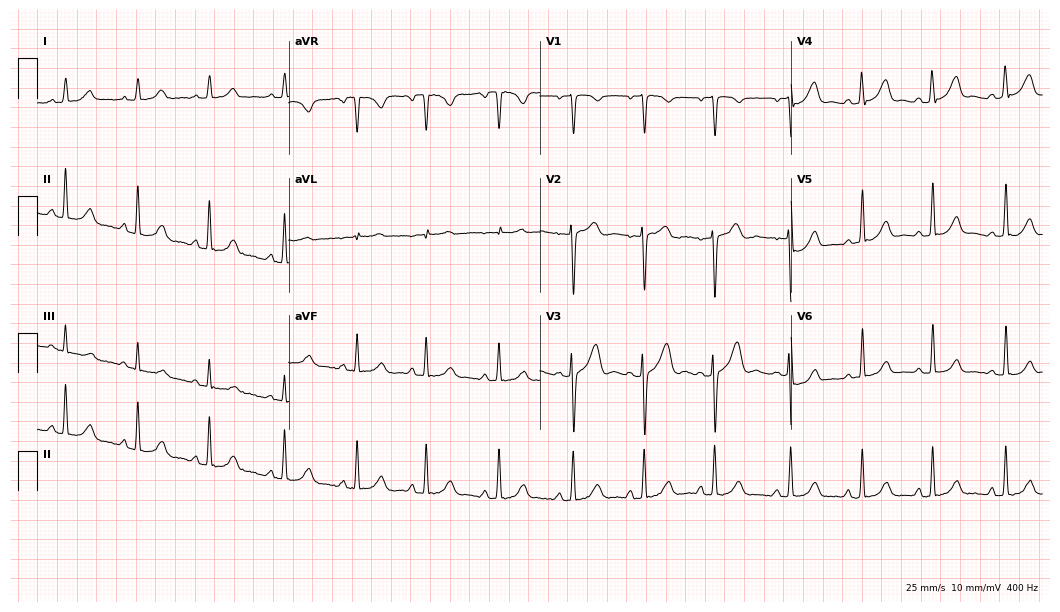
Resting 12-lead electrocardiogram (10.2-second recording at 400 Hz). Patient: a 20-year-old woman. Read as a normal ECG.